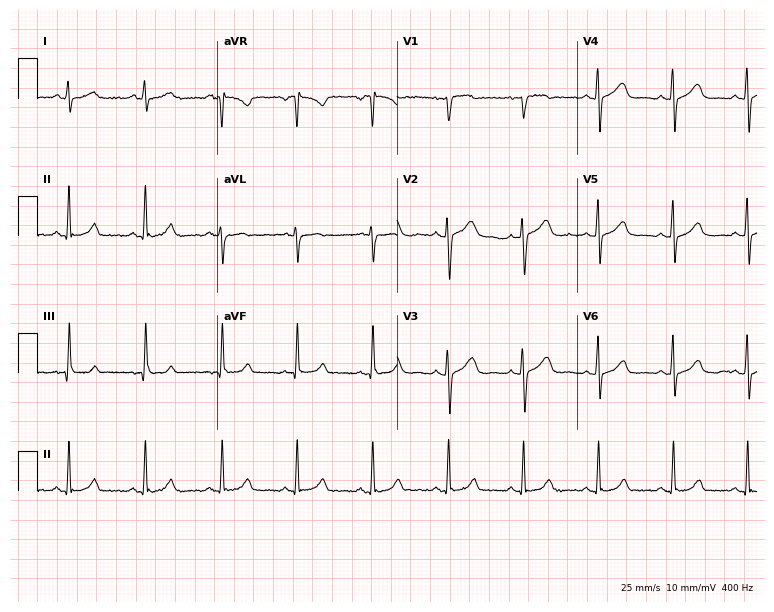
ECG — a 43-year-old female. Screened for six findings — first-degree AV block, right bundle branch block (RBBB), left bundle branch block (LBBB), sinus bradycardia, atrial fibrillation (AF), sinus tachycardia — none is recorded. Only these six findings were labelled.